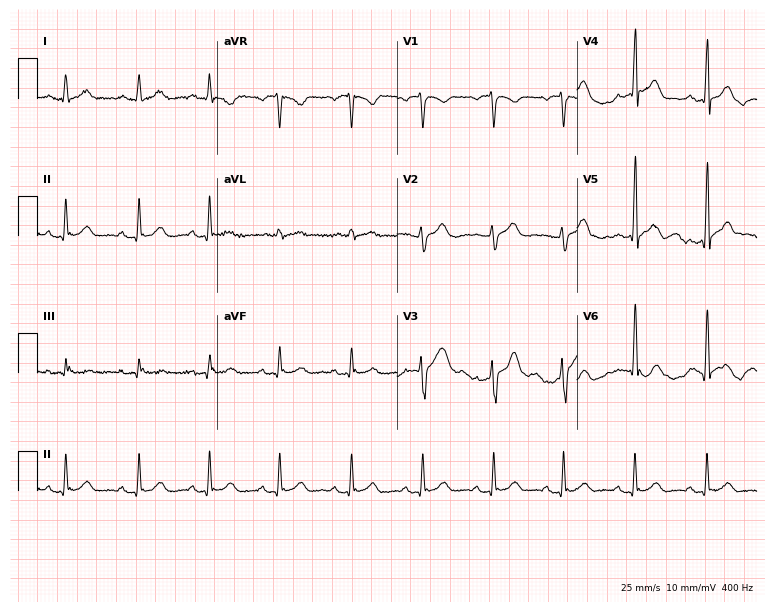
12-lead ECG from a 39-year-old male. No first-degree AV block, right bundle branch block, left bundle branch block, sinus bradycardia, atrial fibrillation or sinus tachycardia recorded for this tracing. Other findings, if any, are not listed.